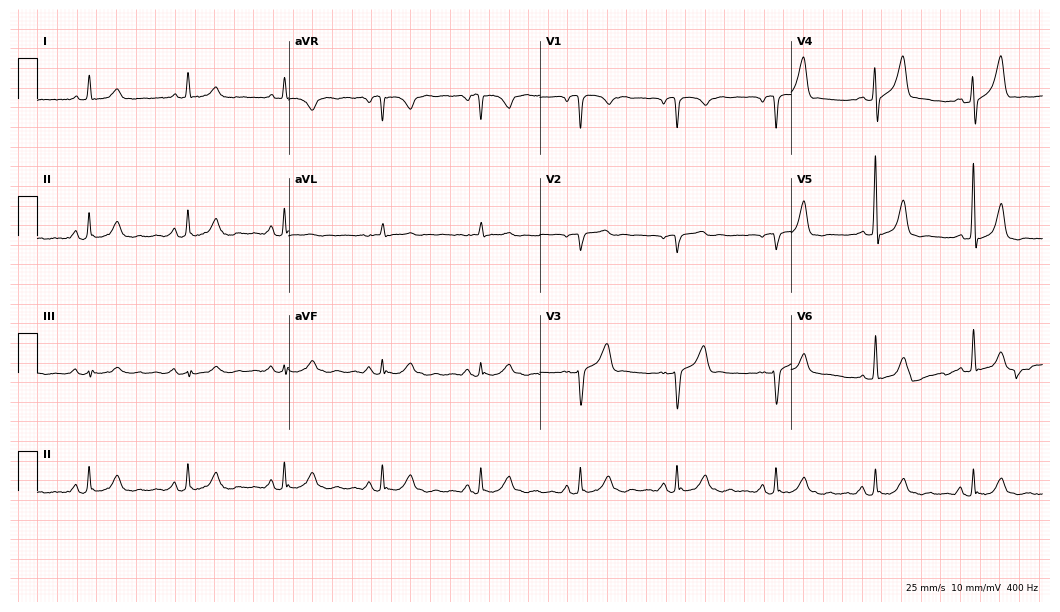
12-lead ECG from a 62-year-old man (10.2-second recording at 400 Hz). No first-degree AV block, right bundle branch block (RBBB), left bundle branch block (LBBB), sinus bradycardia, atrial fibrillation (AF) or sinus tachycardia recorded for this tracing.